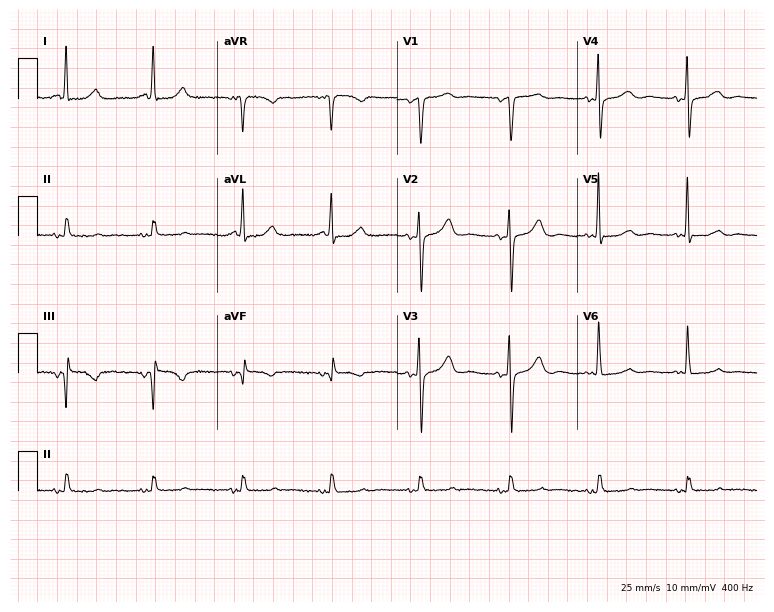
Standard 12-lead ECG recorded from an 83-year-old female patient (7.3-second recording at 400 Hz). None of these six findings is recorded: first-degree AV block, right bundle branch block (RBBB), left bundle branch block (LBBB), sinus bradycardia, atrial fibrillation (AF), sinus tachycardia.